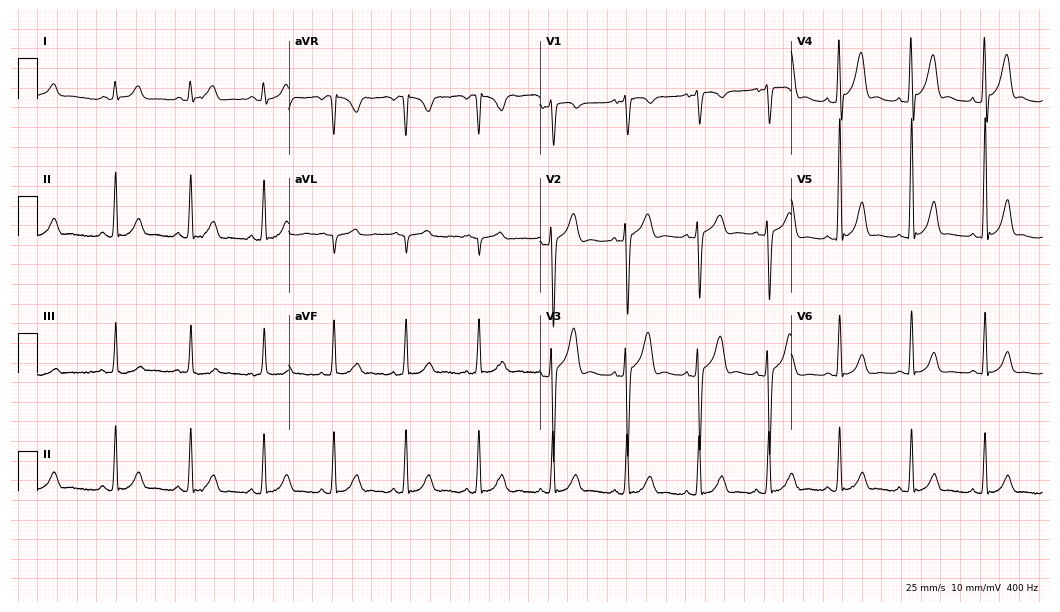
Electrocardiogram (10.2-second recording at 400 Hz), a 17-year-old male. Of the six screened findings (first-degree AV block, right bundle branch block (RBBB), left bundle branch block (LBBB), sinus bradycardia, atrial fibrillation (AF), sinus tachycardia), none is recorded. Other findings, if any, are not listed.